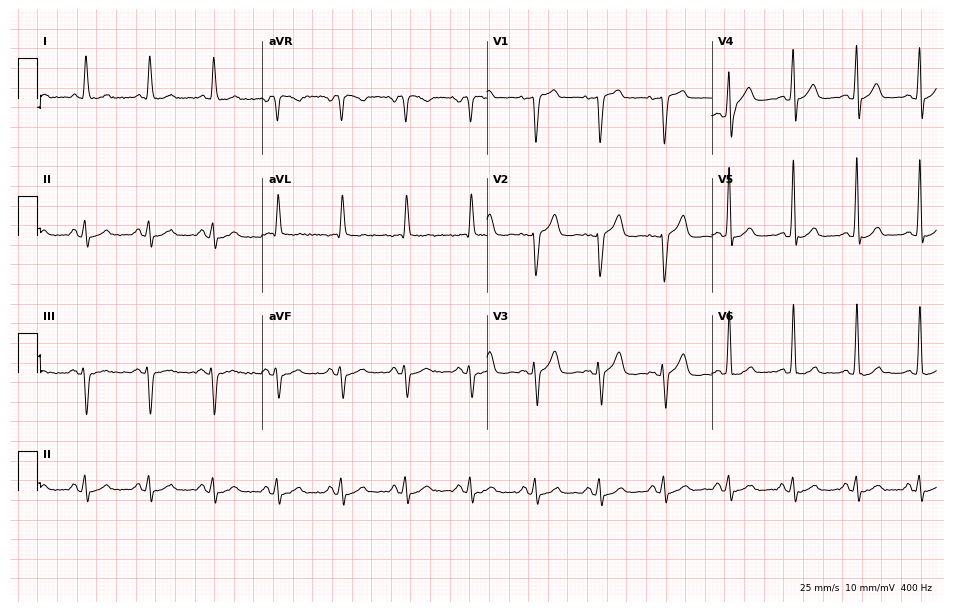
12-lead ECG from a 49-year-old man. Screened for six findings — first-degree AV block, right bundle branch block, left bundle branch block, sinus bradycardia, atrial fibrillation, sinus tachycardia — none is recorded. Other findings, if any, are not listed.